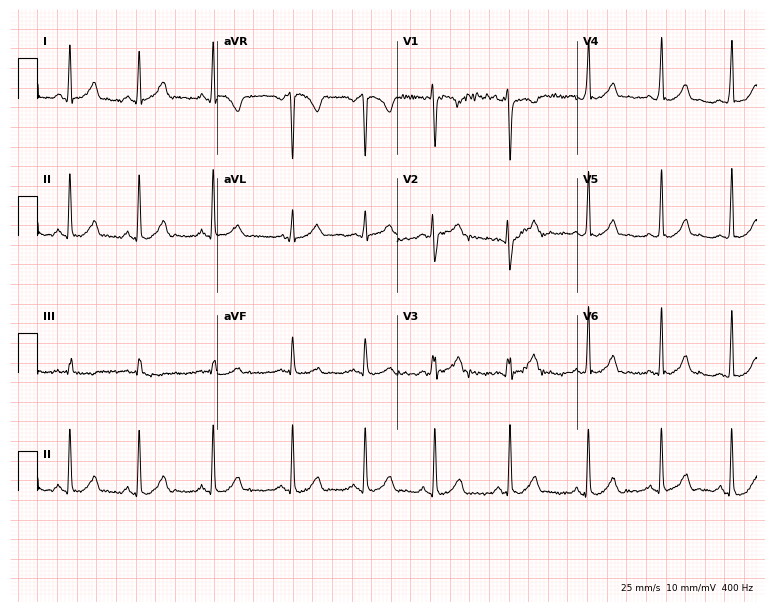
12-lead ECG from a female, 17 years old (7.3-second recording at 400 Hz). Recorded interpretation: within normal limits.